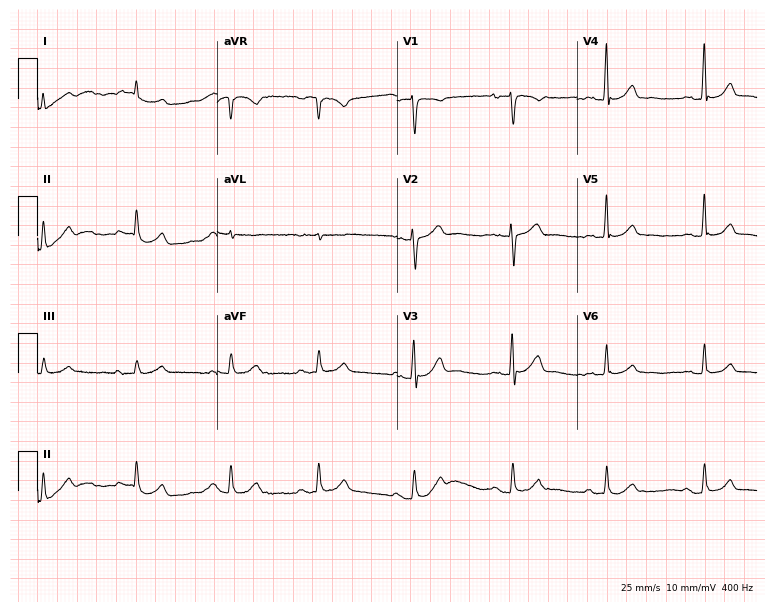
12-lead ECG (7.3-second recording at 400 Hz) from a male, 63 years old. Labelled as a normal ECG.